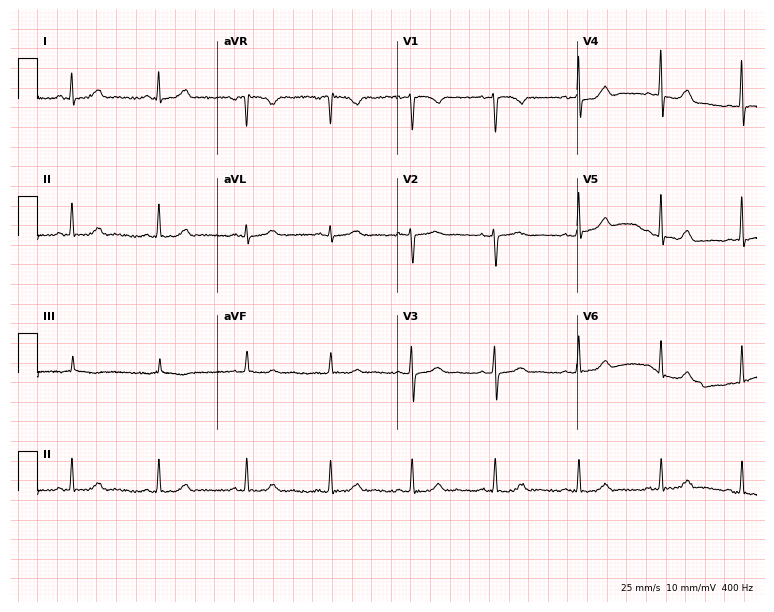
12-lead ECG from a female, 30 years old. Labelled as a normal ECG.